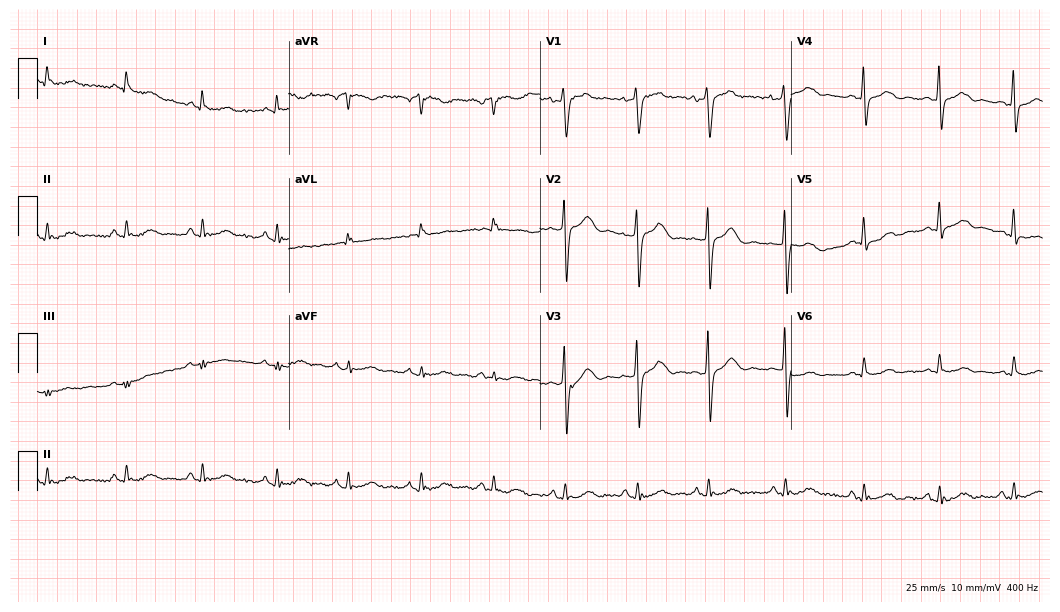
ECG — a man, 64 years old. Screened for six findings — first-degree AV block, right bundle branch block, left bundle branch block, sinus bradycardia, atrial fibrillation, sinus tachycardia — none is recorded.